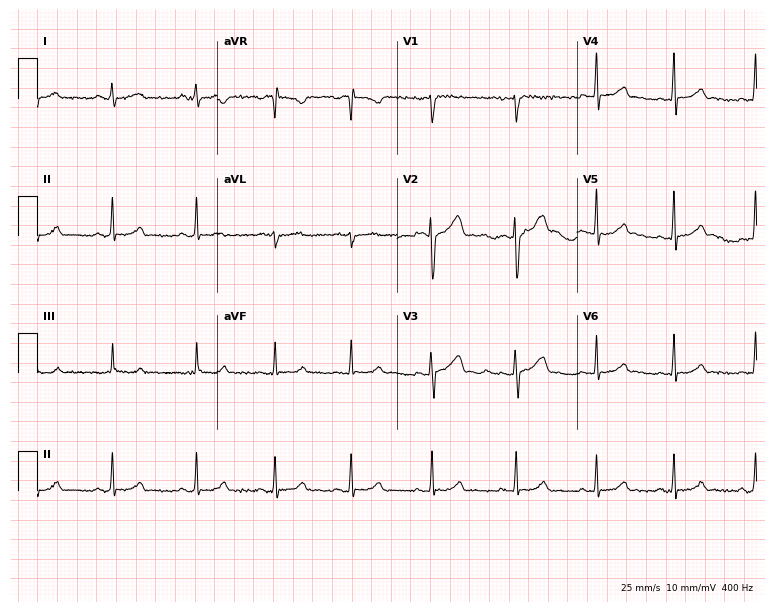
12-lead ECG from a 24-year-old female patient (7.3-second recording at 400 Hz). No first-degree AV block, right bundle branch block, left bundle branch block, sinus bradycardia, atrial fibrillation or sinus tachycardia recorded for this tracing.